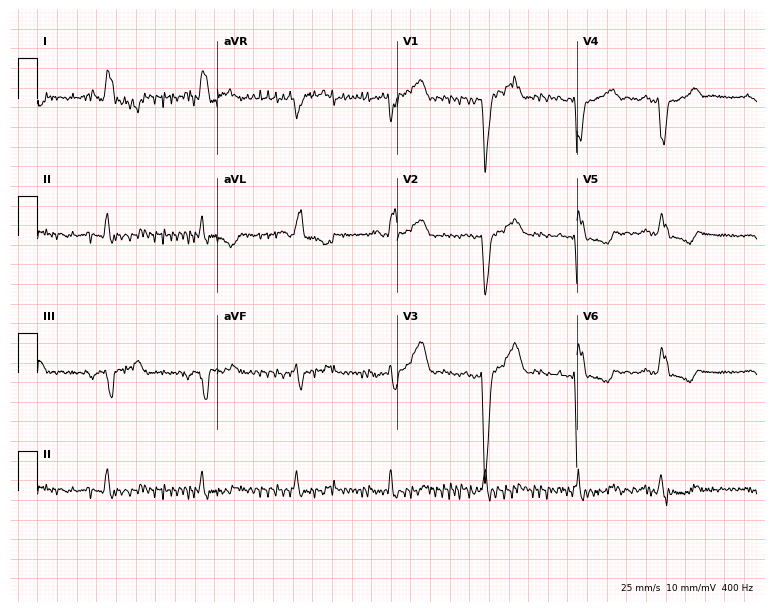
12-lead ECG from a 68-year-old female (7.3-second recording at 400 Hz). Shows left bundle branch block (LBBB).